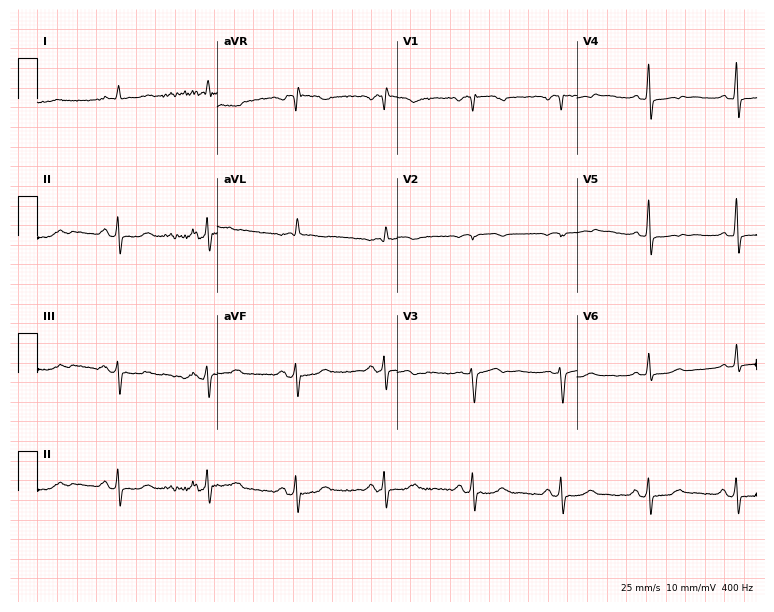
12-lead ECG from a 66-year-old female patient. No first-degree AV block, right bundle branch block (RBBB), left bundle branch block (LBBB), sinus bradycardia, atrial fibrillation (AF) or sinus tachycardia recorded for this tracing.